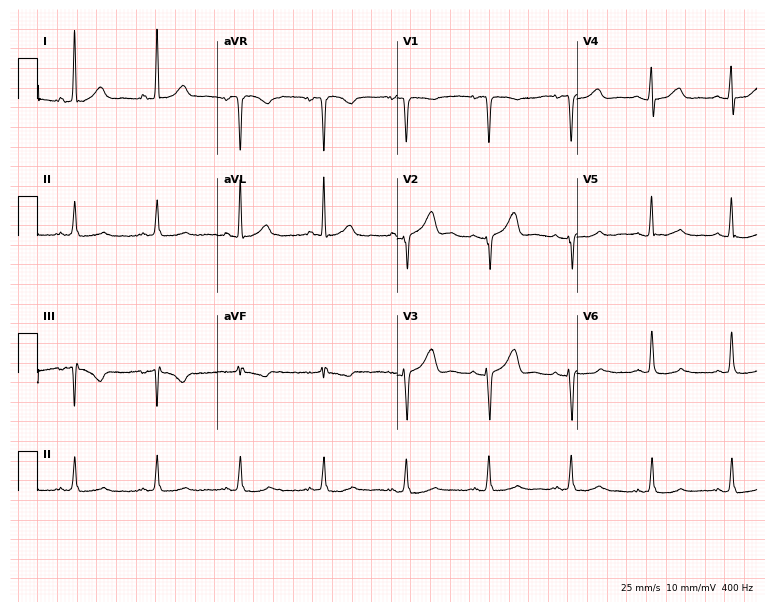
12-lead ECG from a woman, 65 years old. No first-degree AV block, right bundle branch block (RBBB), left bundle branch block (LBBB), sinus bradycardia, atrial fibrillation (AF) or sinus tachycardia recorded for this tracing. Other findings, if any, are not listed.